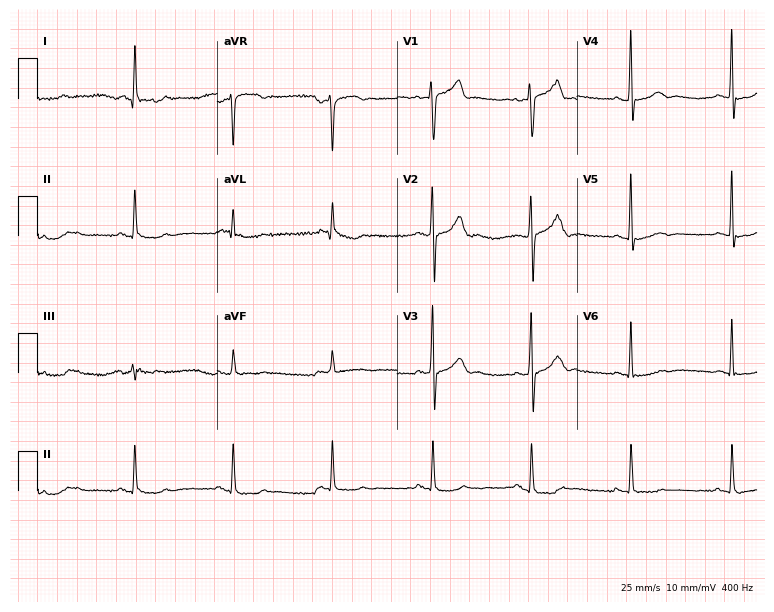
12-lead ECG from a male, 55 years old. Screened for six findings — first-degree AV block, right bundle branch block (RBBB), left bundle branch block (LBBB), sinus bradycardia, atrial fibrillation (AF), sinus tachycardia — none is recorded.